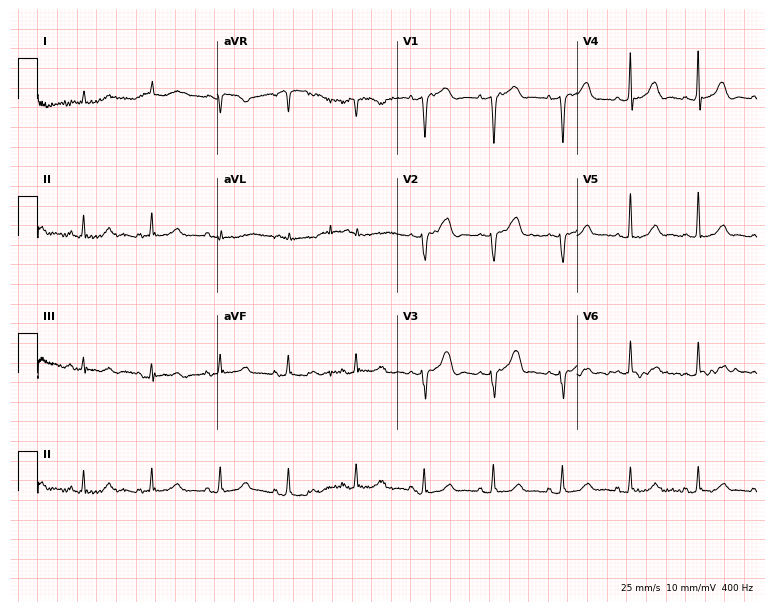
ECG — a 78-year-old female. Screened for six findings — first-degree AV block, right bundle branch block, left bundle branch block, sinus bradycardia, atrial fibrillation, sinus tachycardia — none is recorded. Other findings, if any, are not listed.